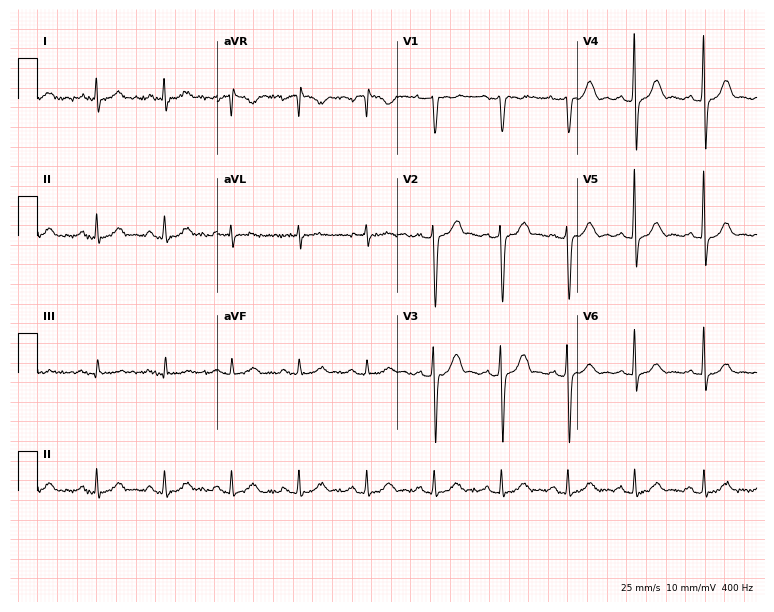
ECG (7.3-second recording at 400 Hz) — a male, 41 years old. Screened for six findings — first-degree AV block, right bundle branch block, left bundle branch block, sinus bradycardia, atrial fibrillation, sinus tachycardia — none is recorded.